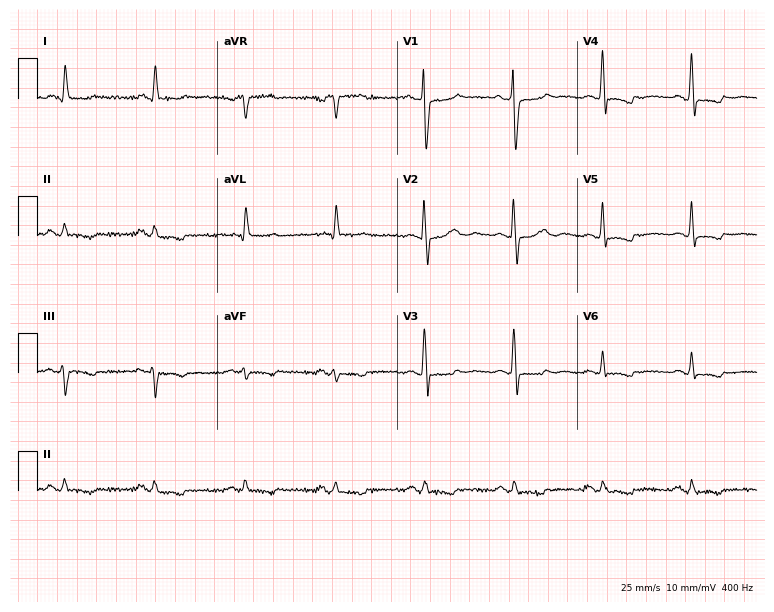
Electrocardiogram, a 67-year-old female. Of the six screened findings (first-degree AV block, right bundle branch block, left bundle branch block, sinus bradycardia, atrial fibrillation, sinus tachycardia), none is recorded. Only these six findings were labelled.